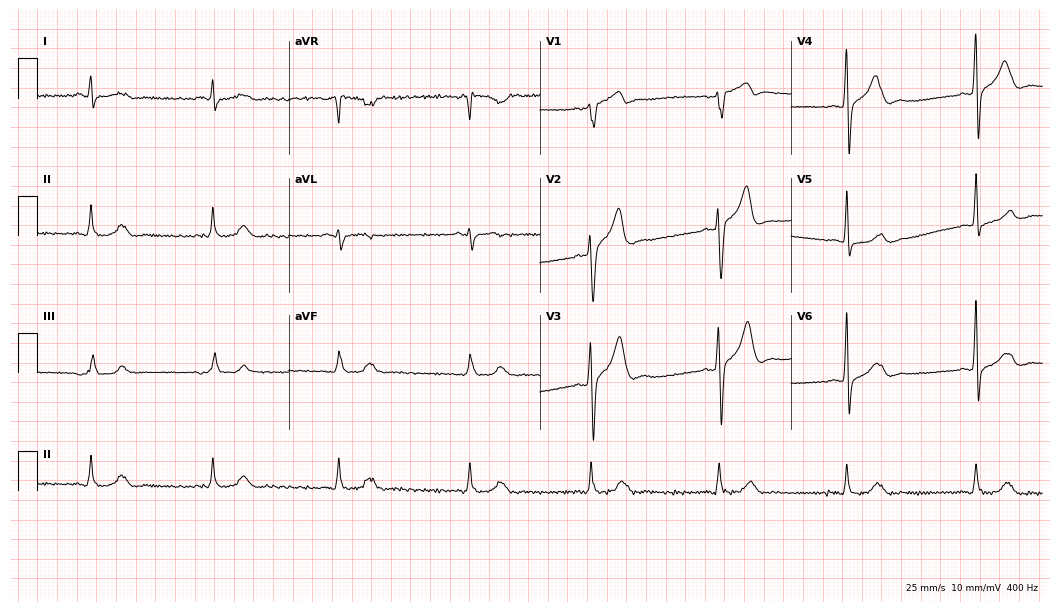
Standard 12-lead ECG recorded from a 34-year-old female patient. None of these six findings is recorded: first-degree AV block, right bundle branch block, left bundle branch block, sinus bradycardia, atrial fibrillation, sinus tachycardia.